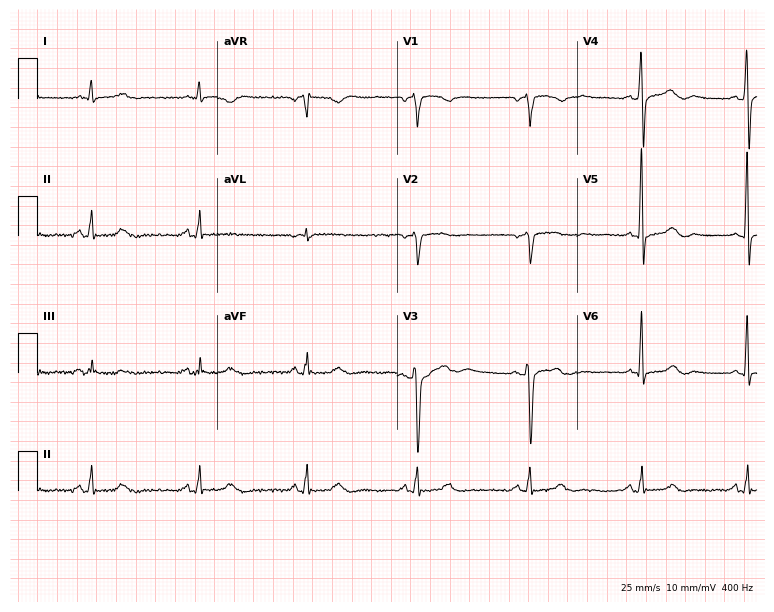
12-lead ECG (7.3-second recording at 400 Hz) from a 52-year-old female patient. Screened for six findings — first-degree AV block, right bundle branch block, left bundle branch block, sinus bradycardia, atrial fibrillation, sinus tachycardia — none is recorded.